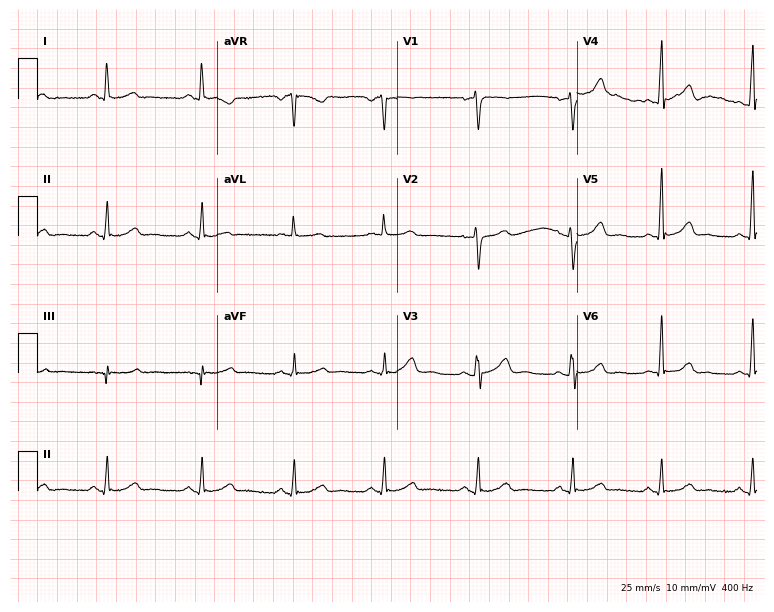
Standard 12-lead ECG recorded from a 57-year-old female (7.3-second recording at 400 Hz). Read as a normal ECG.